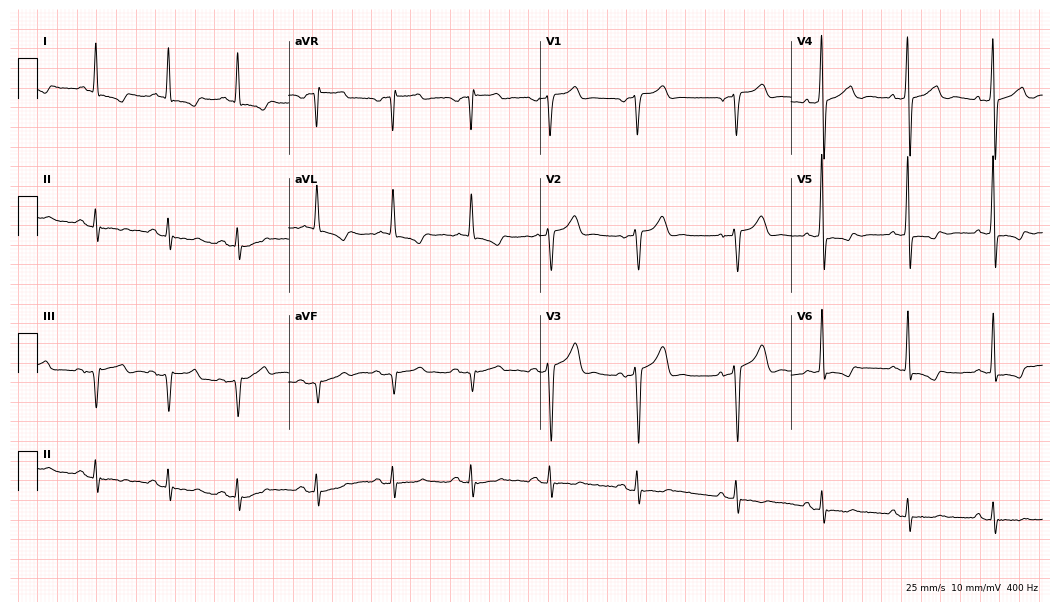
Resting 12-lead electrocardiogram (10.2-second recording at 400 Hz). Patient: a 66-year-old male. None of these six findings is recorded: first-degree AV block, right bundle branch block, left bundle branch block, sinus bradycardia, atrial fibrillation, sinus tachycardia. Findings outside these six are not listed.